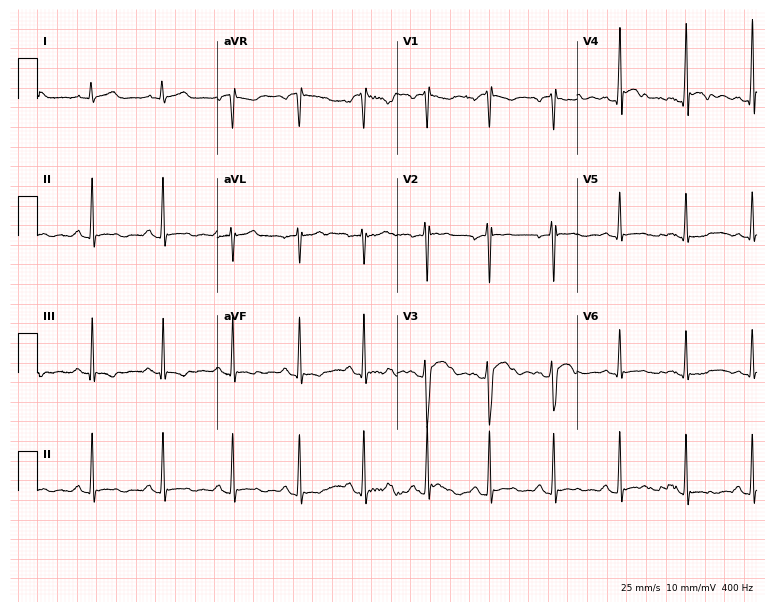
12-lead ECG from a 22-year-old male. Screened for six findings — first-degree AV block, right bundle branch block (RBBB), left bundle branch block (LBBB), sinus bradycardia, atrial fibrillation (AF), sinus tachycardia — none is recorded. Only these six findings were labelled.